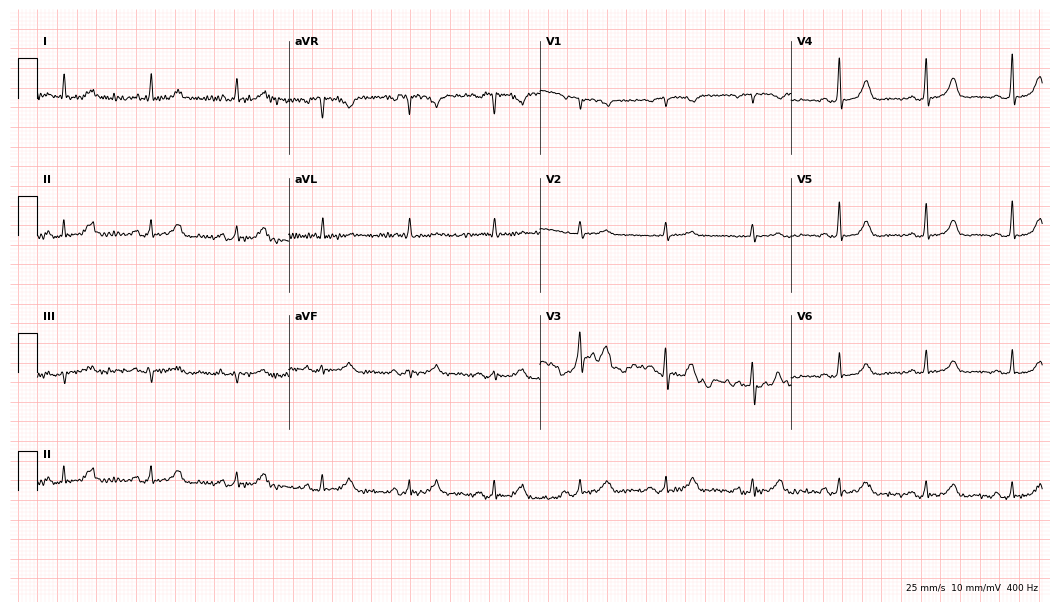
ECG (10.2-second recording at 400 Hz) — a female patient, 68 years old. Labelled as a normal ECG.